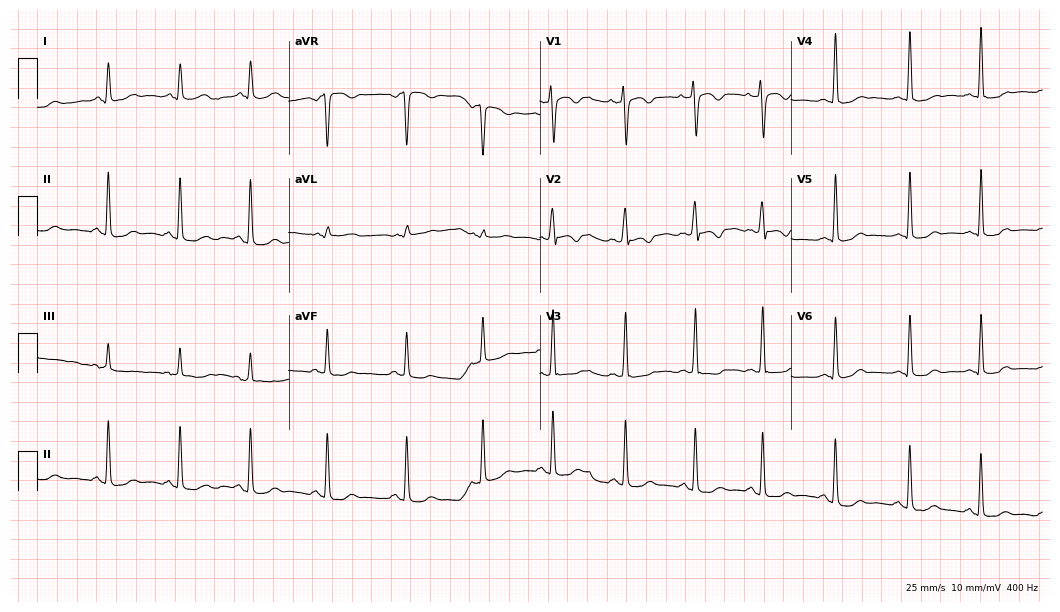
ECG (10.2-second recording at 400 Hz) — a 23-year-old woman. Labelled as a normal ECG.